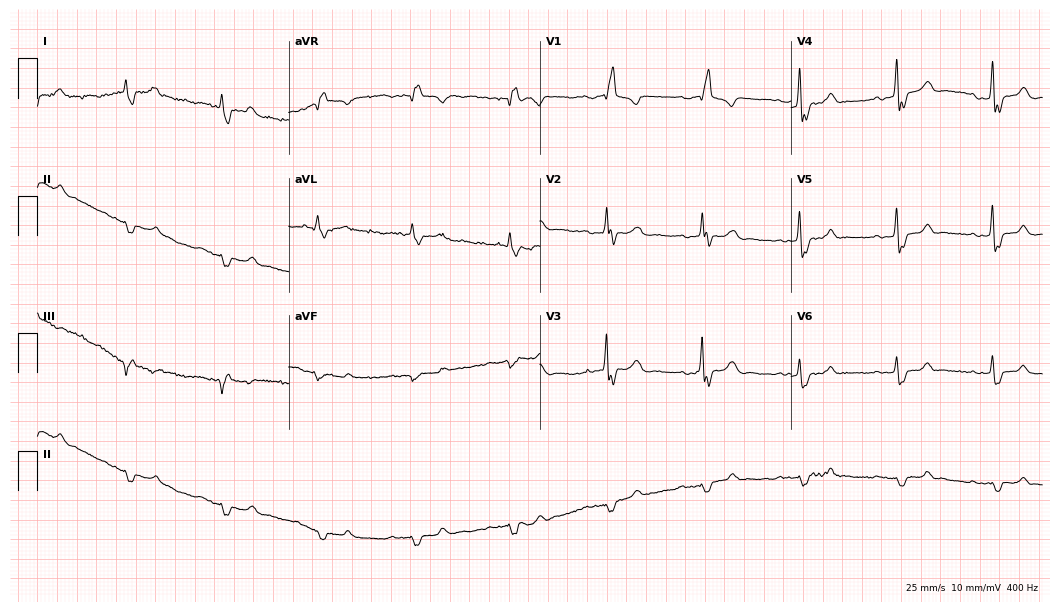
12-lead ECG from an 80-year-old male patient. Findings include right bundle branch block.